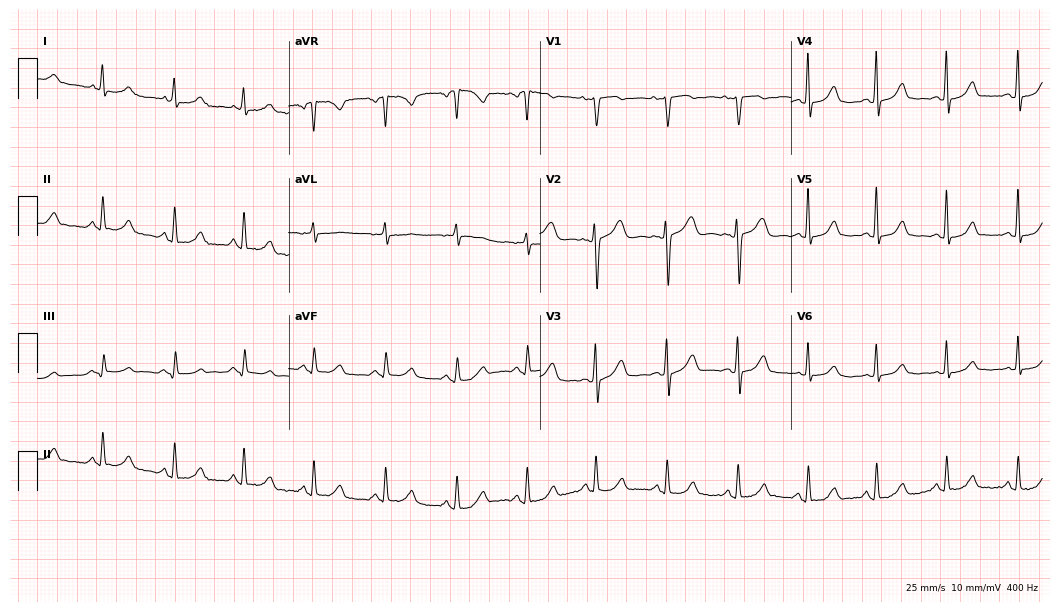
Standard 12-lead ECG recorded from a 46-year-old woman (10.2-second recording at 400 Hz). Read as a normal ECG.